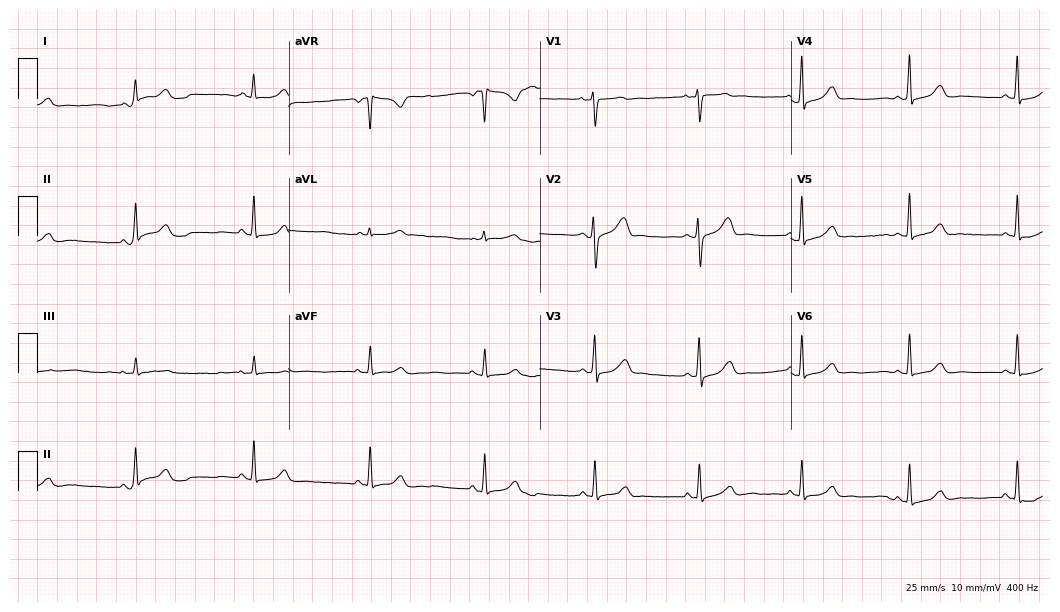
Resting 12-lead electrocardiogram (10.2-second recording at 400 Hz). Patient: a 42-year-old female. None of these six findings is recorded: first-degree AV block, right bundle branch block, left bundle branch block, sinus bradycardia, atrial fibrillation, sinus tachycardia.